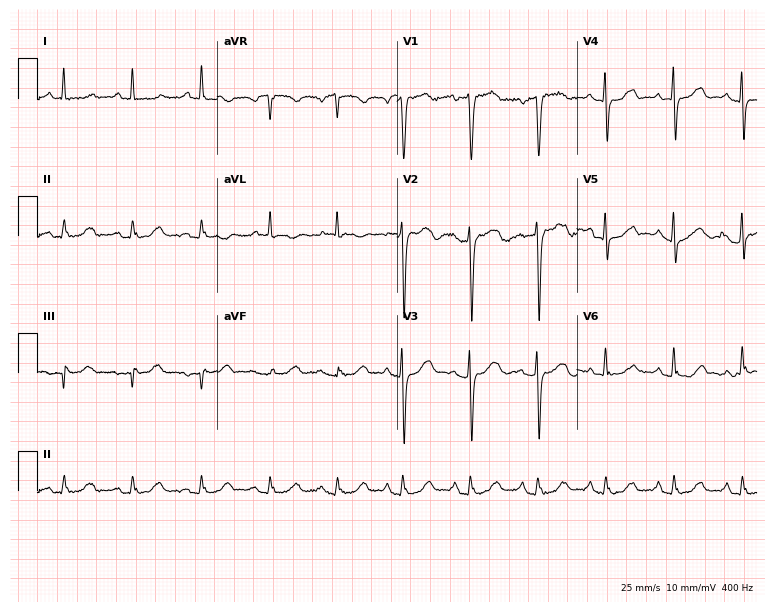
Standard 12-lead ECG recorded from a woman, 47 years old (7.3-second recording at 400 Hz). None of these six findings is recorded: first-degree AV block, right bundle branch block, left bundle branch block, sinus bradycardia, atrial fibrillation, sinus tachycardia.